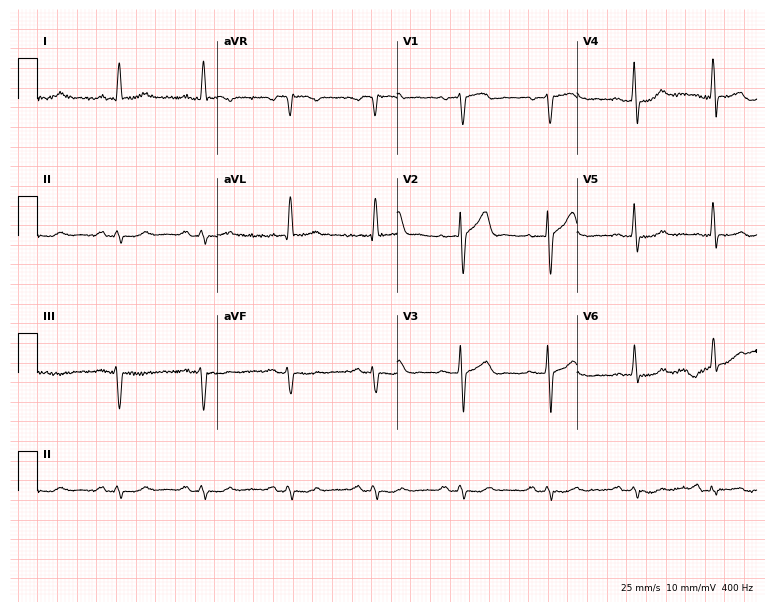
ECG — a 52-year-old man. Screened for six findings — first-degree AV block, right bundle branch block, left bundle branch block, sinus bradycardia, atrial fibrillation, sinus tachycardia — none is recorded. Findings outside these six are not listed.